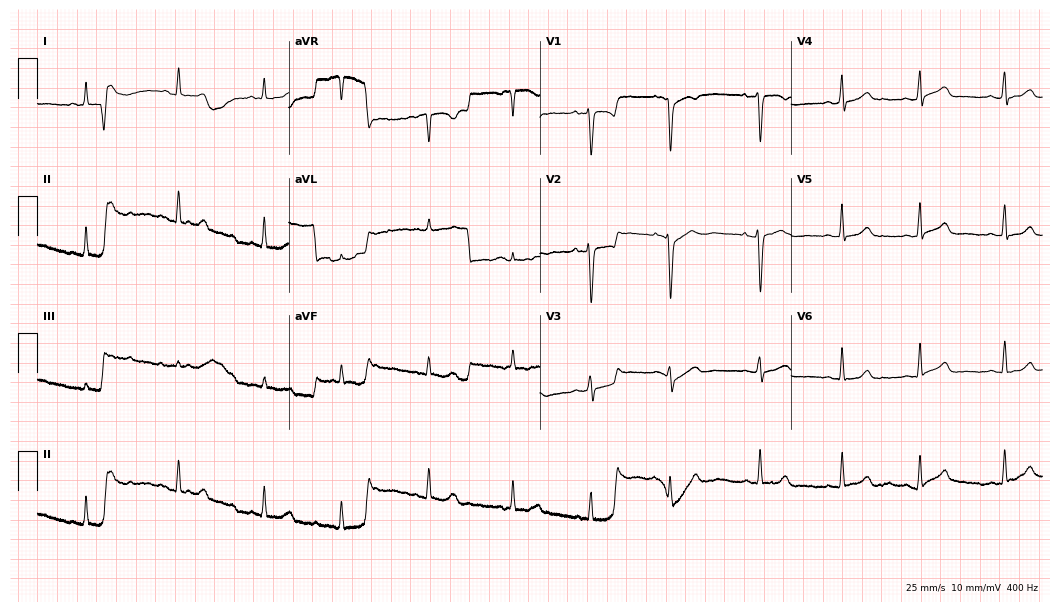
Standard 12-lead ECG recorded from a 32-year-old woman. Read as a normal ECG.